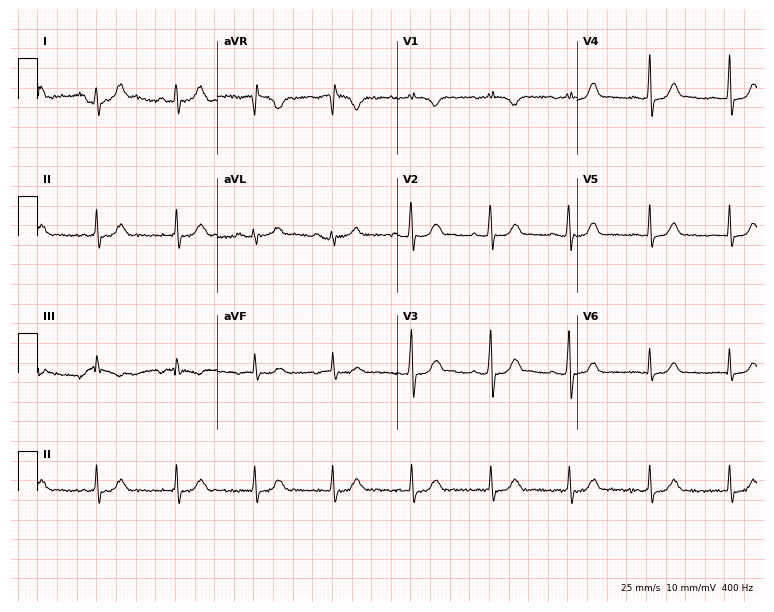
12-lead ECG from a 27-year-old woman (7.3-second recording at 400 Hz). No first-degree AV block, right bundle branch block, left bundle branch block, sinus bradycardia, atrial fibrillation or sinus tachycardia recorded for this tracing.